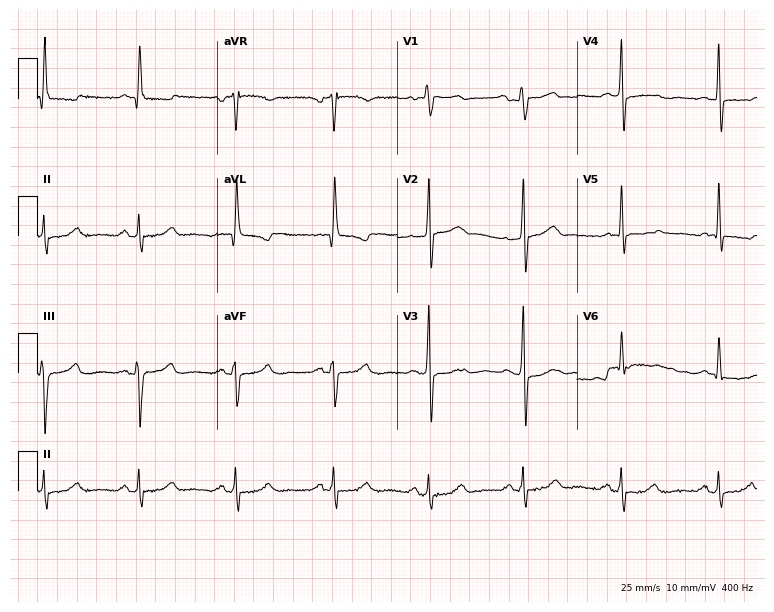
Resting 12-lead electrocardiogram. Patient: a 57-year-old woman. None of these six findings is recorded: first-degree AV block, right bundle branch block, left bundle branch block, sinus bradycardia, atrial fibrillation, sinus tachycardia. Only these six findings were labelled.